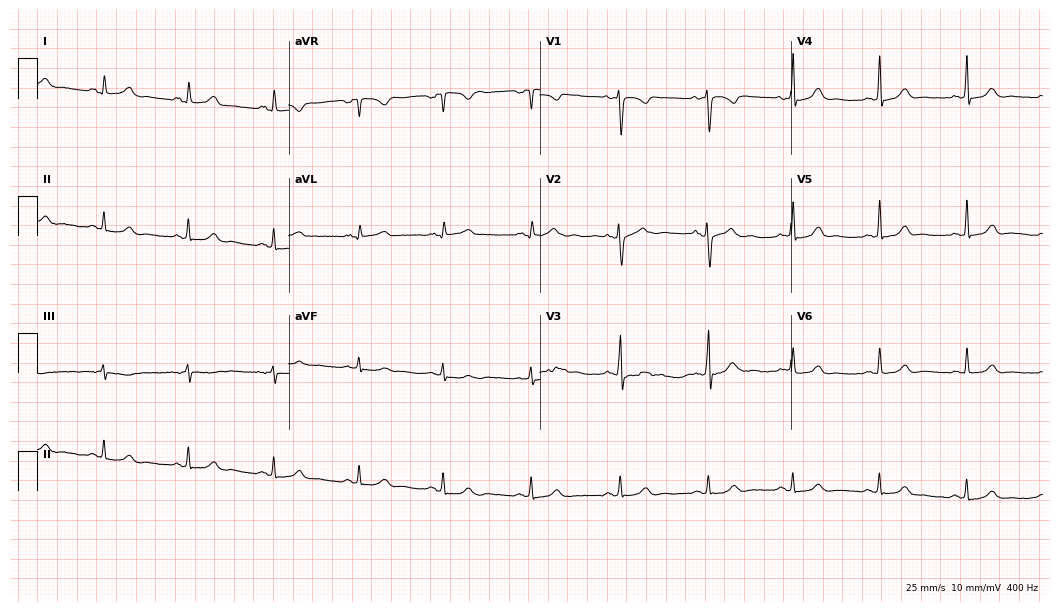
12-lead ECG from a female, 22 years old. Labelled as a normal ECG.